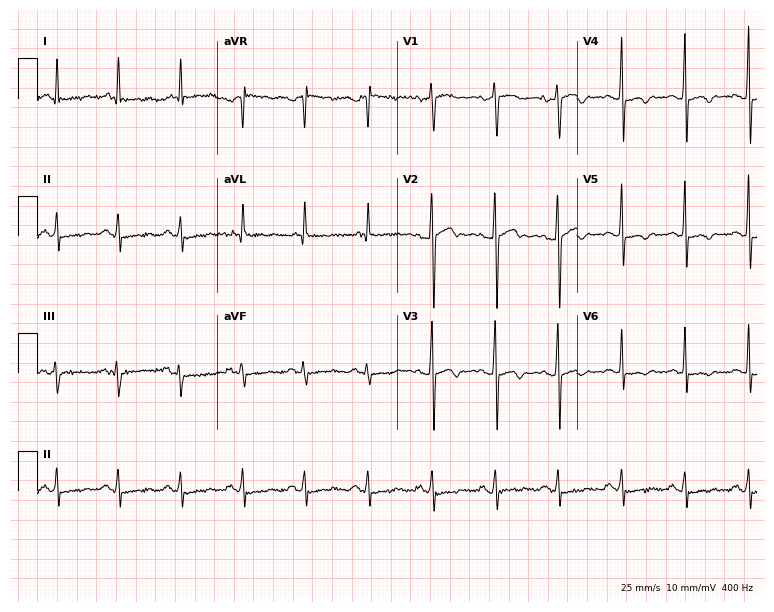
ECG (7.3-second recording at 400 Hz) — a woman, 68 years old. Screened for six findings — first-degree AV block, right bundle branch block (RBBB), left bundle branch block (LBBB), sinus bradycardia, atrial fibrillation (AF), sinus tachycardia — none is recorded. Only these six findings were labelled.